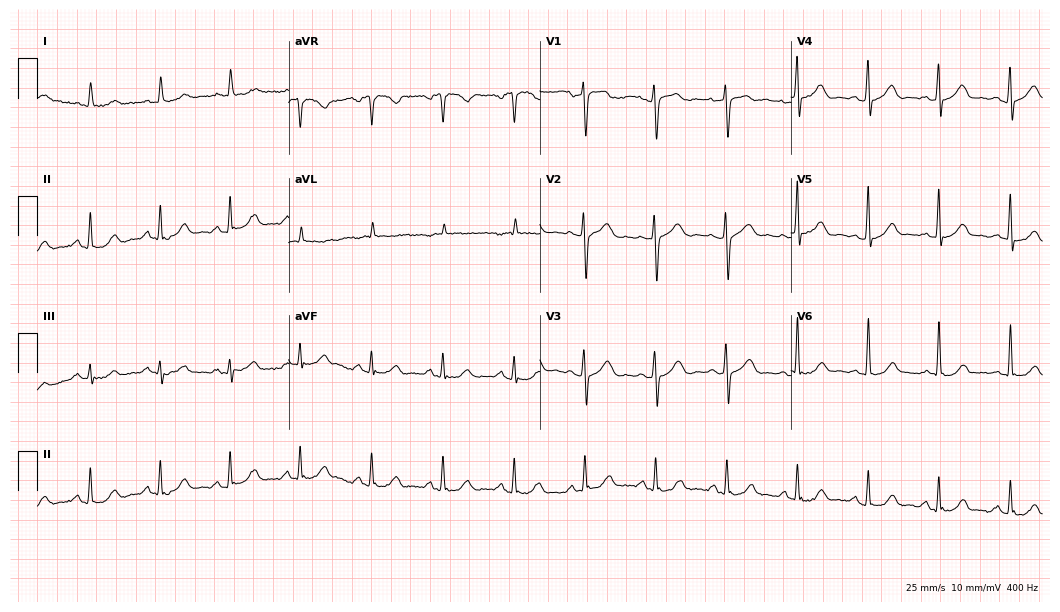
12-lead ECG from a 68-year-old female. Recorded interpretation: within normal limits.